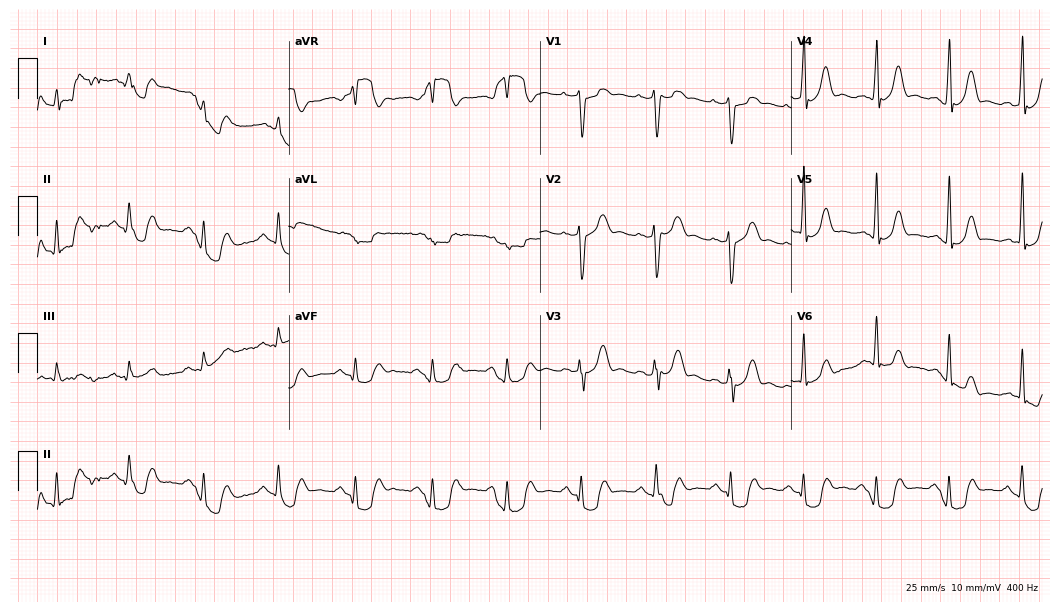
12-lead ECG from a 65-year-old male. Screened for six findings — first-degree AV block, right bundle branch block, left bundle branch block, sinus bradycardia, atrial fibrillation, sinus tachycardia — none is recorded. Findings outside these six are not listed.